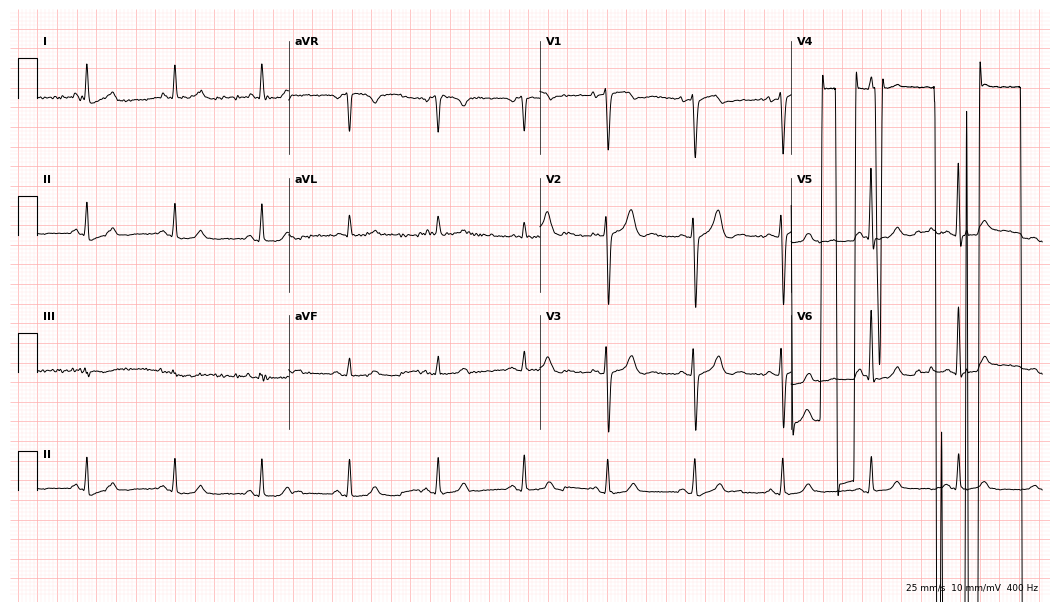
Electrocardiogram, a woman, 35 years old. Of the six screened findings (first-degree AV block, right bundle branch block, left bundle branch block, sinus bradycardia, atrial fibrillation, sinus tachycardia), none is recorded.